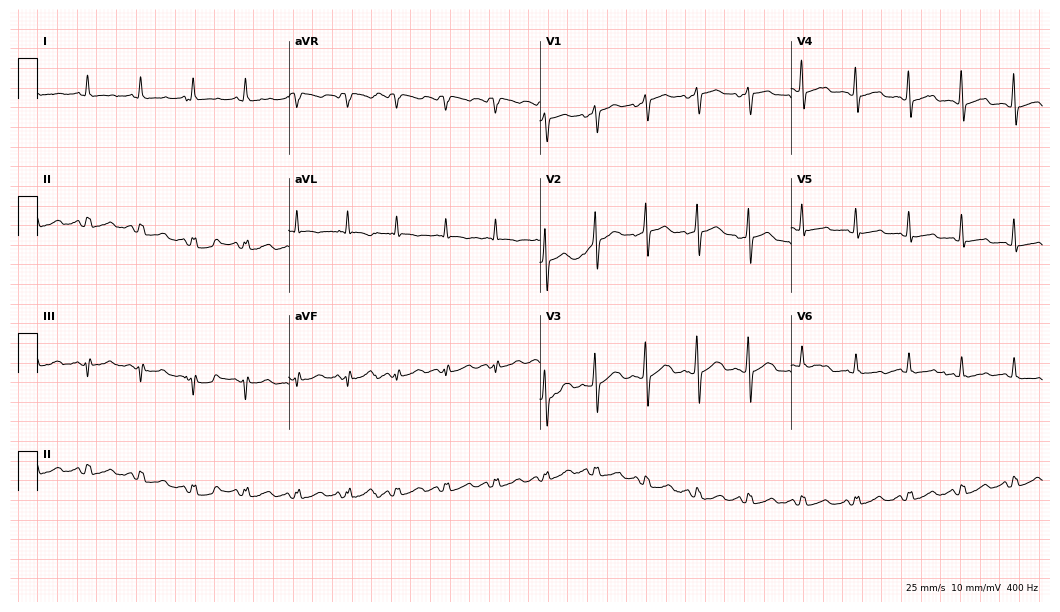
12-lead ECG (10.2-second recording at 400 Hz) from a man, 47 years old. Findings include sinus tachycardia (a sinus rate of 100 beats per minute or more).